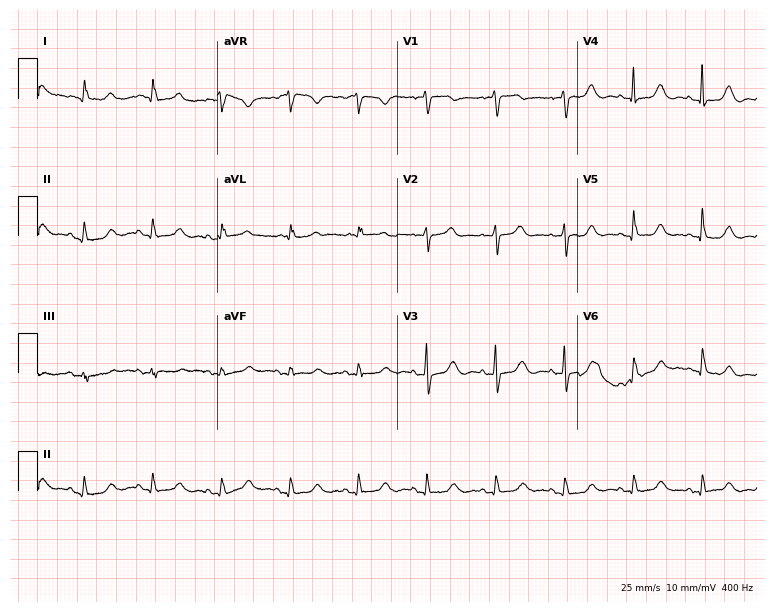
Resting 12-lead electrocardiogram. Patient: a female, 78 years old. None of these six findings is recorded: first-degree AV block, right bundle branch block (RBBB), left bundle branch block (LBBB), sinus bradycardia, atrial fibrillation (AF), sinus tachycardia. Only these six findings were labelled.